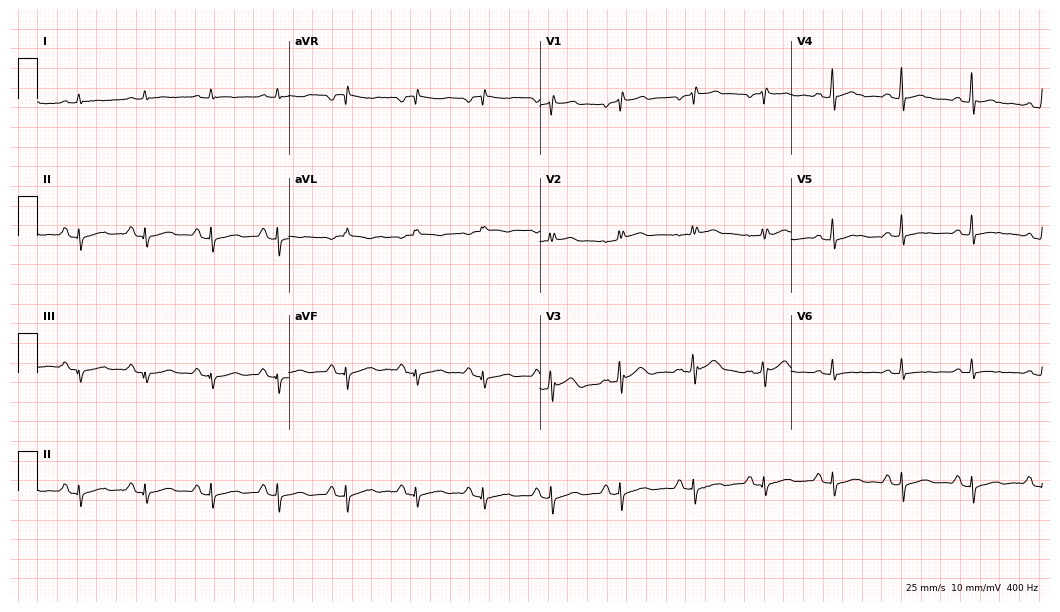
12-lead ECG (10.2-second recording at 400 Hz) from a man, 65 years old. Screened for six findings — first-degree AV block, right bundle branch block, left bundle branch block, sinus bradycardia, atrial fibrillation, sinus tachycardia — none is recorded.